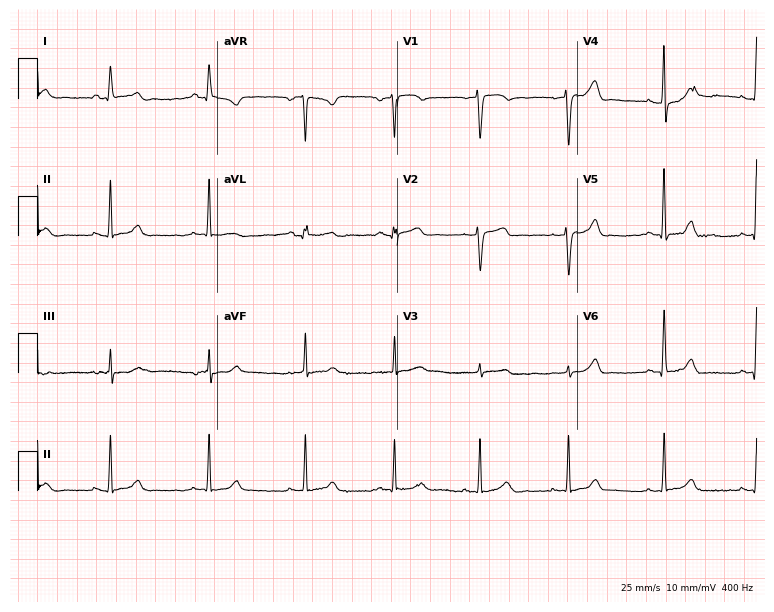
12-lead ECG from a 46-year-old woman (7.3-second recording at 400 Hz). No first-degree AV block, right bundle branch block, left bundle branch block, sinus bradycardia, atrial fibrillation or sinus tachycardia recorded for this tracing.